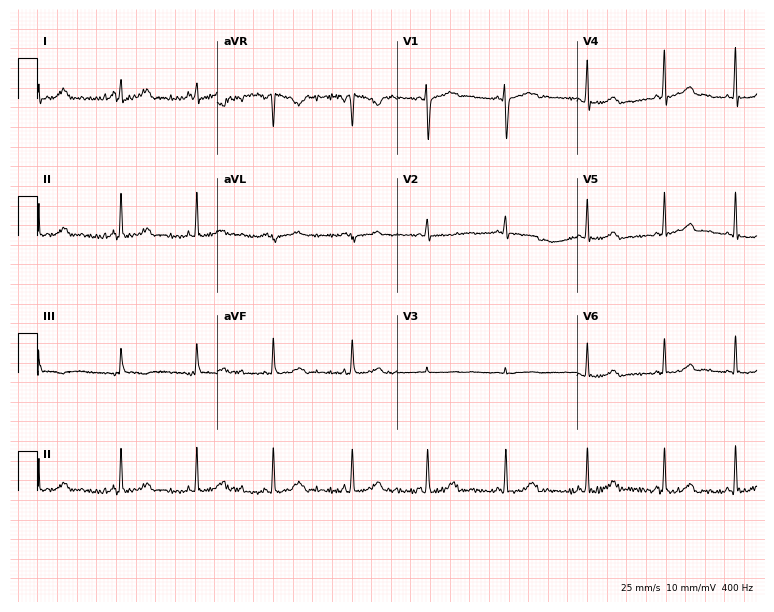
ECG — a 23-year-old female. Screened for six findings — first-degree AV block, right bundle branch block, left bundle branch block, sinus bradycardia, atrial fibrillation, sinus tachycardia — none is recorded.